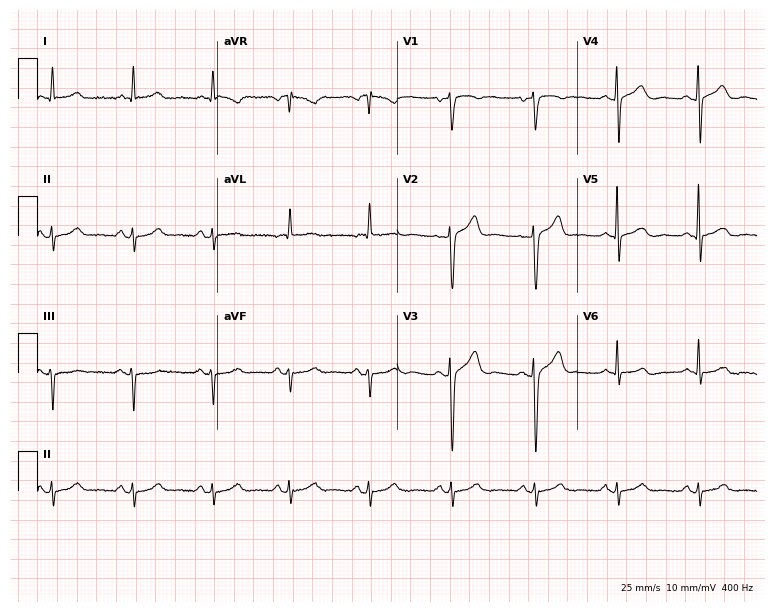
Electrocardiogram (7.3-second recording at 400 Hz), a male patient, 79 years old. Of the six screened findings (first-degree AV block, right bundle branch block (RBBB), left bundle branch block (LBBB), sinus bradycardia, atrial fibrillation (AF), sinus tachycardia), none is recorded.